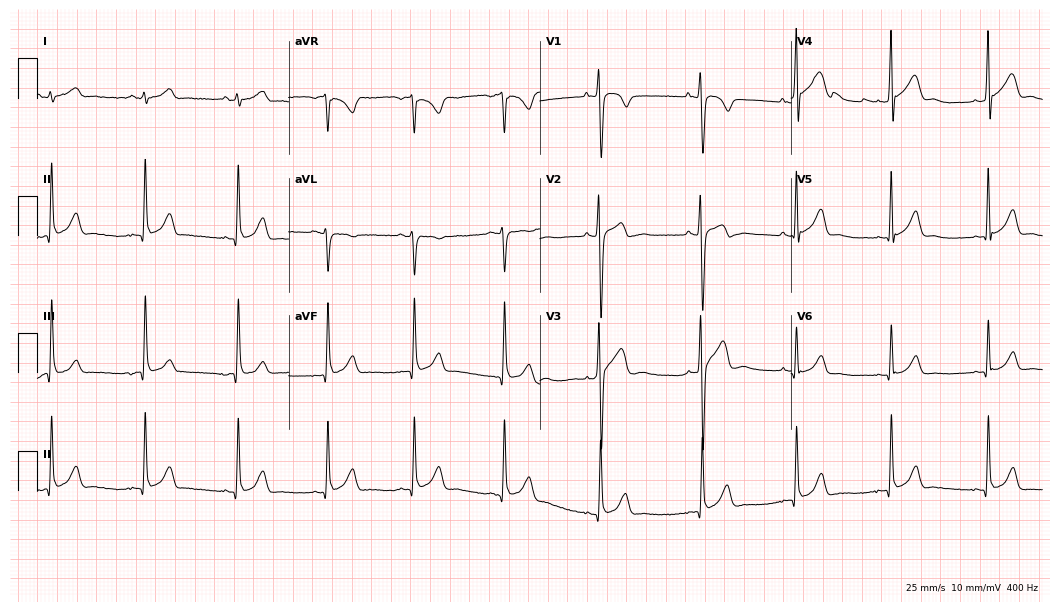
12-lead ECG from an 18-year-old man (10.2-second recording at 400 Hz). Recorded interpretation: within normal limits.